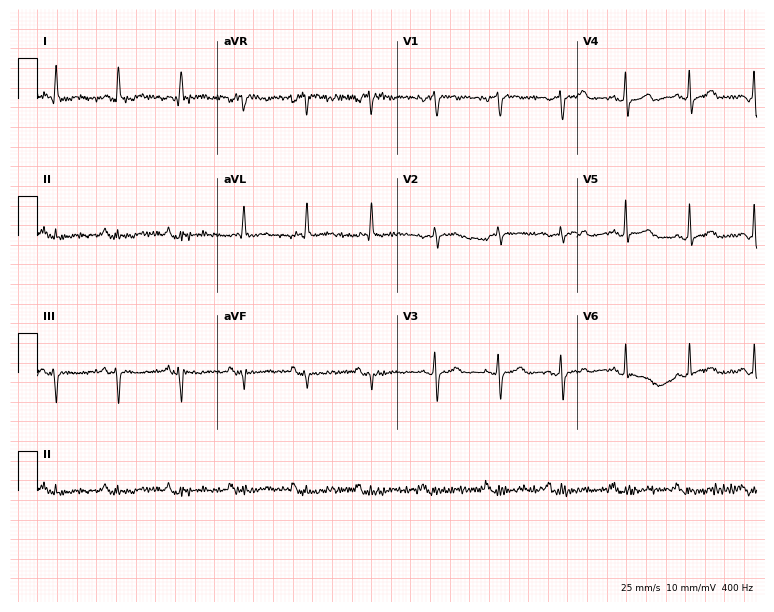
12-lead ECG from a 67-year-old female patient (7.3-second recording at 400 Hz). No first-degree AV block, right bundle branch block (RBBB), left bundle branch block (LBBB), sinus bradycardia, atrial fibrillation (AF) or sinus tachycardia recorded for this tracing. Other findings, if any, are not listed.